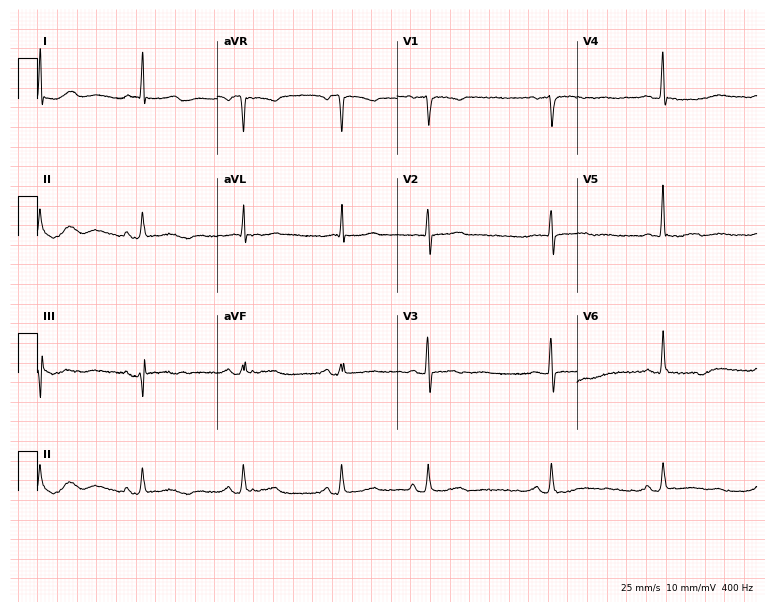
ECG — a woman, 59 years old. Labelled as a normal ECG.